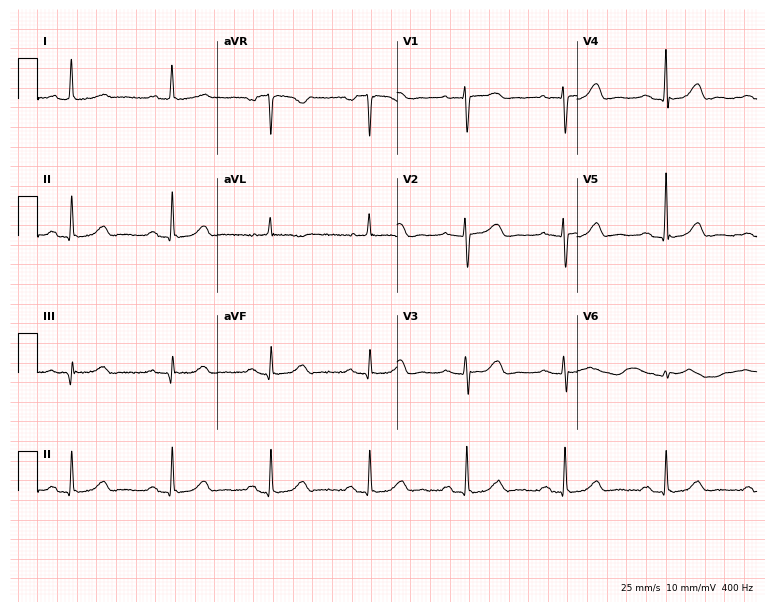
Resting 12-lead electrocardiogram (7.3-second recording at 400 Hz). Patient: a female, 62 years old. The tracing shows first-degree AV block.